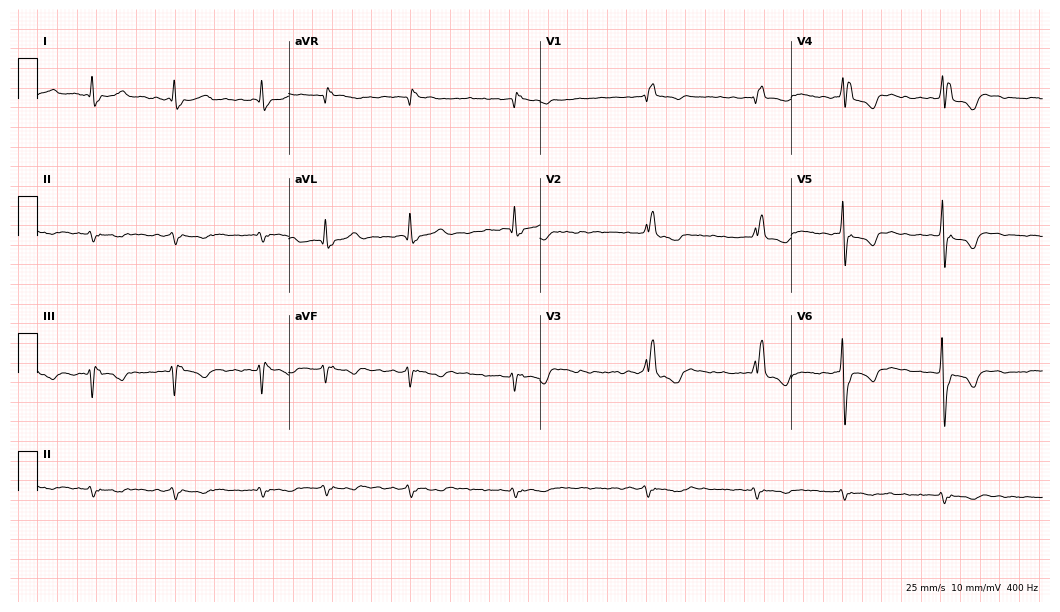
ECG — an 85-year-old male. Screened for six findings — first-degree AV block, right bundle branch block, left bundle branch block, sinus bradycardia, atrial fibrillation, sinus tachycardia — none is recorded. Findings outside these six are not listed.